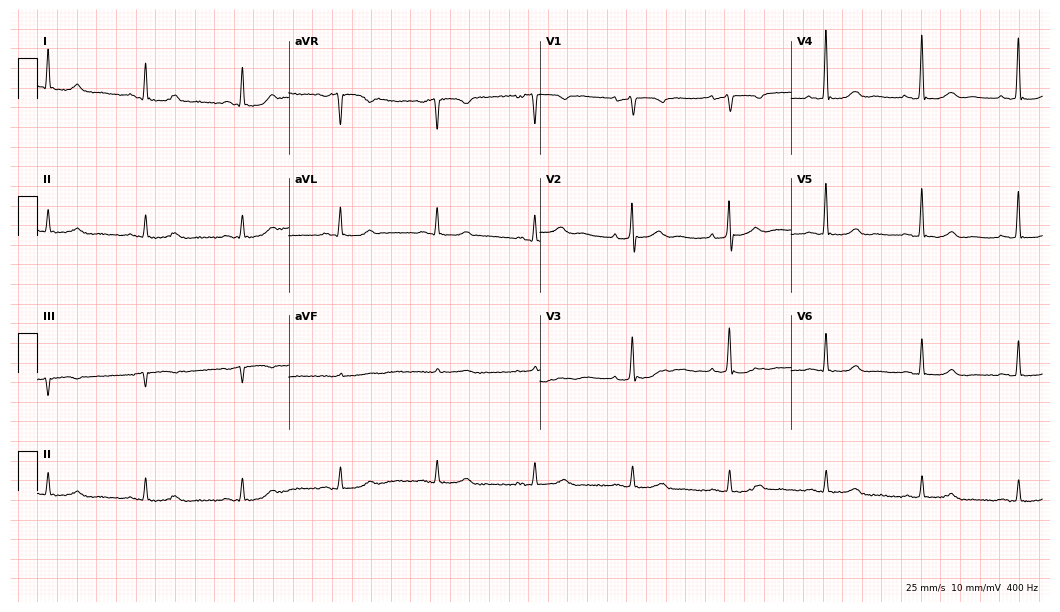
Electrocardiogram (10.2-second recording at 400 Hz), a male, 76 years old. Of the six screened findings (first-degree AV block, right bundle branch block (RBBB), left bundle branch block (LBBB), sinus bradycardia, atrial fibrillation (AF), sinus tachycardia), none is recorded. Only these six findings were labelled.